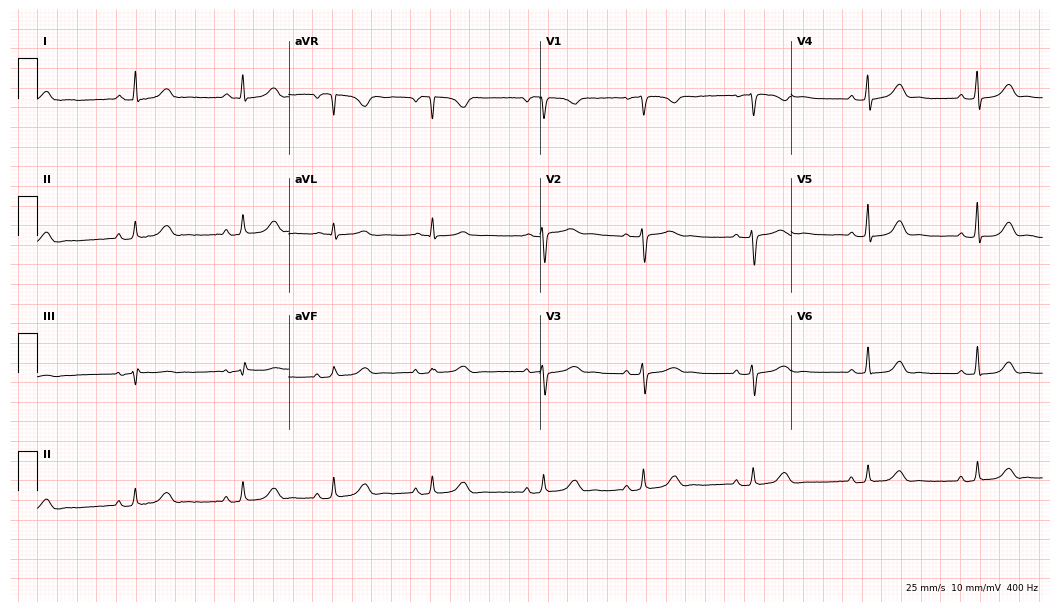
Resting 12-lead electrocardiogram (10.2-second recording at 400 Hz). Patient: a 50-year-old woman. Read as a normal ECG.